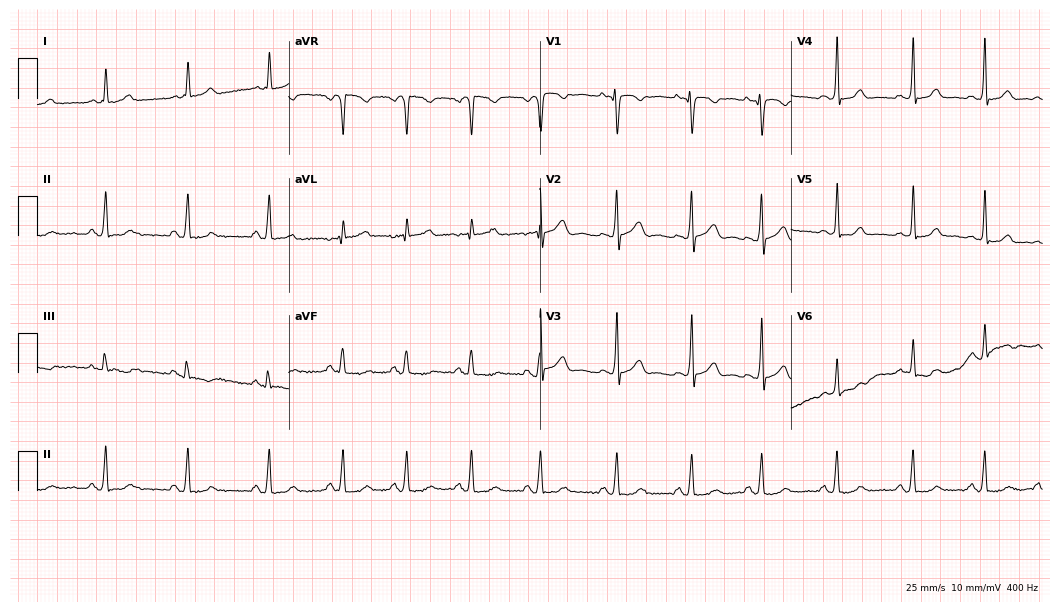
ECG (10.2-second recording at 400 Hz) — a 20-year-old woman. Labelled as a normal ECG.